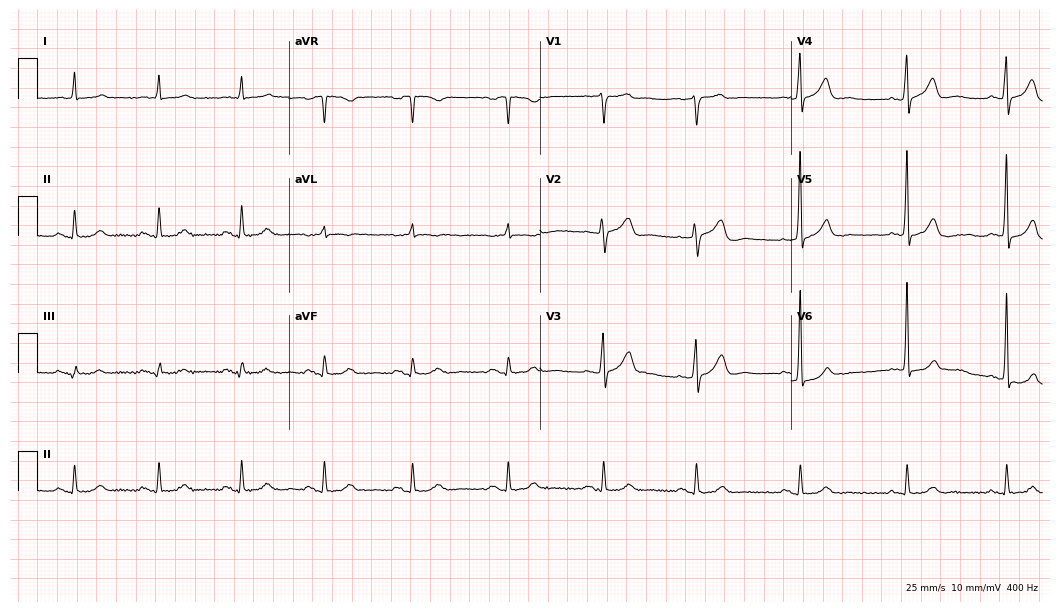
ECG — a male patient, 83 years old. Labelled as a normal ECG.